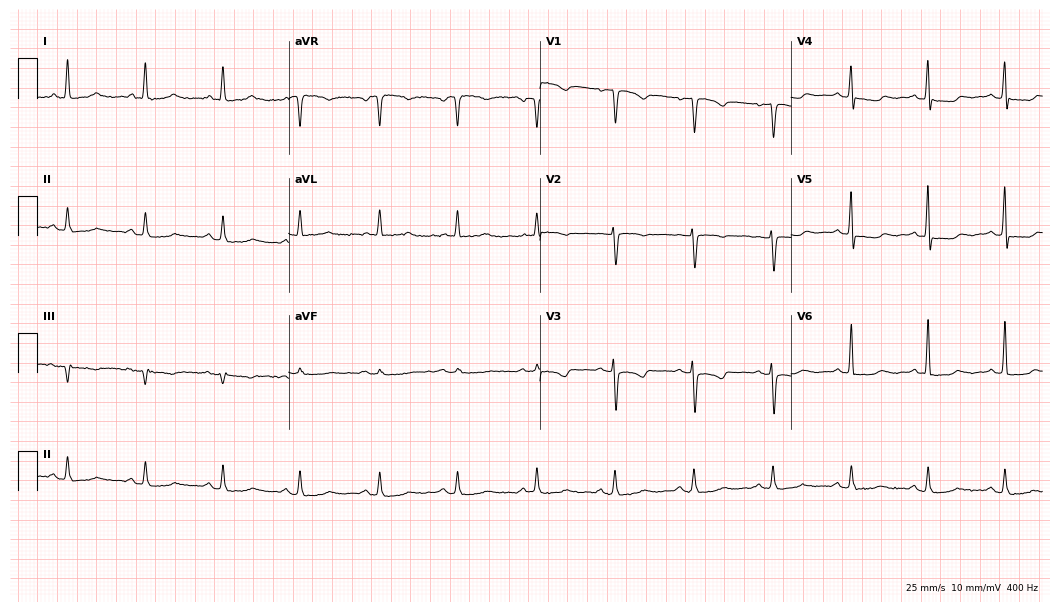
12-lead ECG from a woman, 66 years old. No first-degree AV block, right bundle branch block (RBBB), left bundle branch block (LBBB), sinus bradycardia, atrial fibrillation (AF) or sinus tachycardia recorded for this tracing. Only these six findings were labelled.